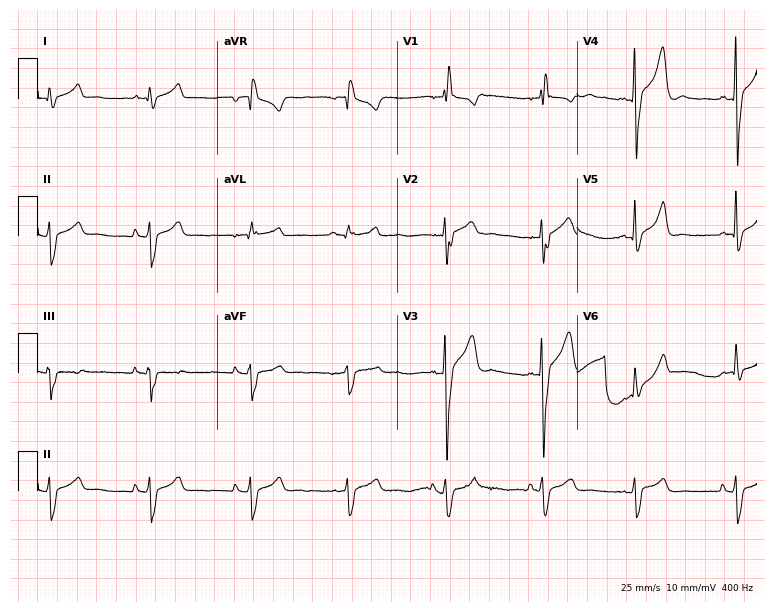
12-lead ECG (7.3-second recording at 400 Hz) from a 17-year-old male. Screened for six findings — first-degree AV block, right bundle branch block, left bundle branch block, sinus bradycardia, atrial fibrillation, sinus tachycardia — none is recorded. Only these six findings were labelled.